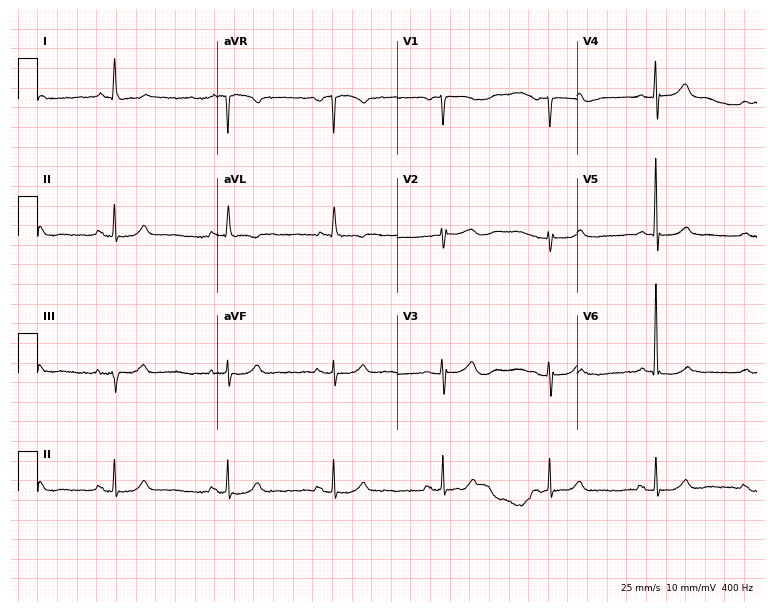
Resting 12-lead electrocardiogram (7.3-second recording at 400 Hz). Patient: an 84-year-old female. None of these six findings is recorded: first-degree AV block, right bundle branch block, left bundle branch block, sinus bradycardia, atrial fibrillation, sinus tachycardia. Other findings, if any, are not listed.